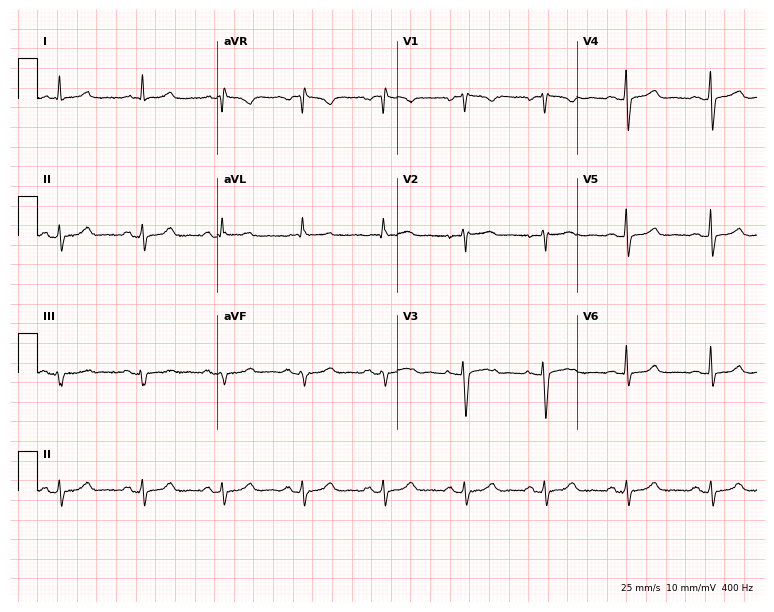
Resting 12-lead electrocardiogram (7.3-second recording at 400 Hz). Patient: a woman, 62 years old. None of these six findings is recorded: first-degree AV block, right bundle branch block, left bundle branch block, sinus bradycardia, atrial fibrillation, sinus tachycardia.